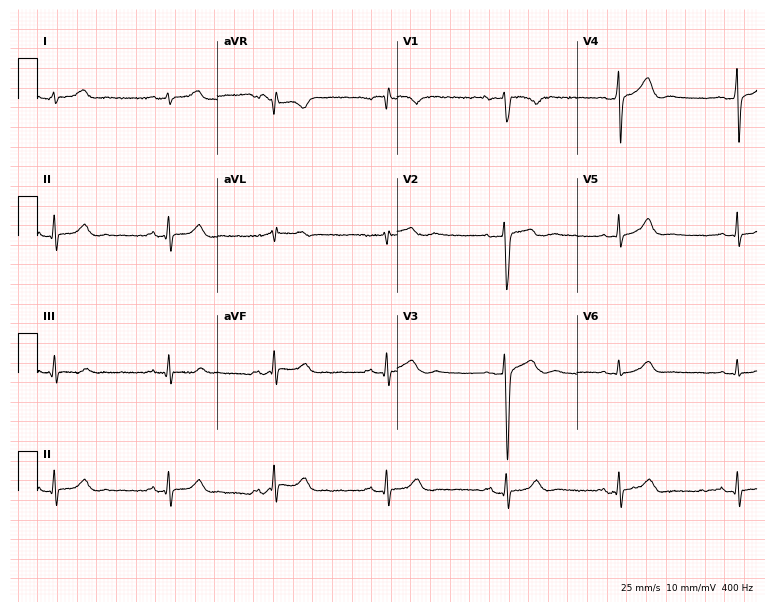
Resting 12-lead electrocardiogram. Patient: a 27-year-old man. Read as a normal ECG.